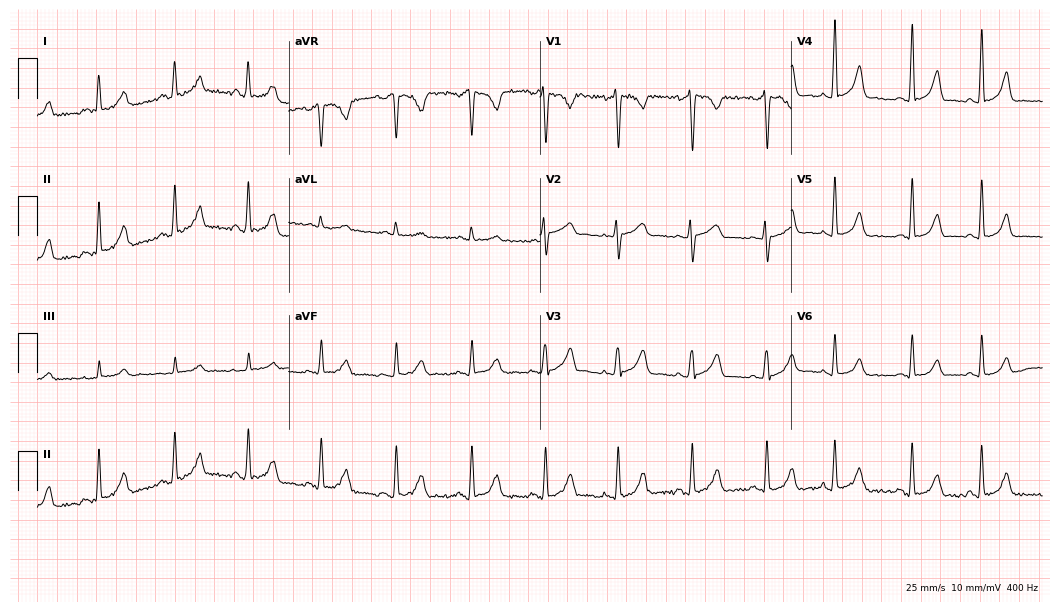
Standard 12-lead ECG recorded from a female, 32 years old. Read as a normal ECG.